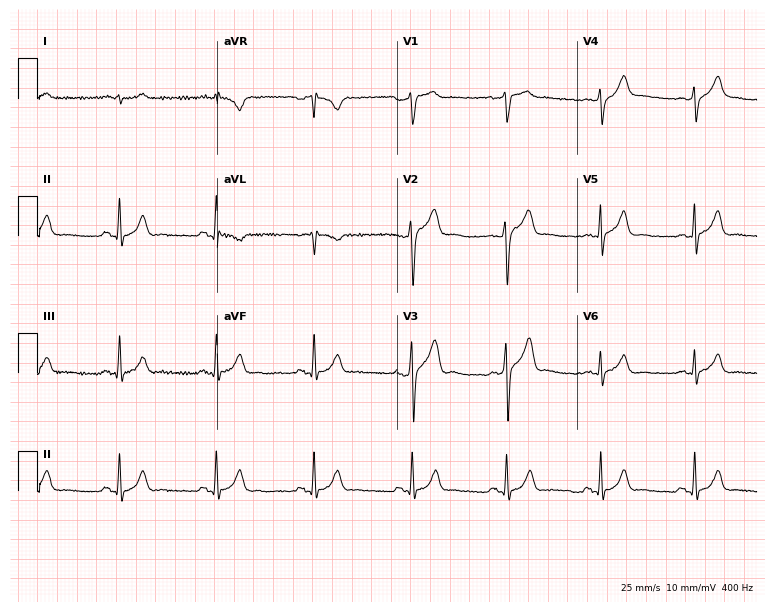
ECG (7.3-second recording at 400 Hz) — a male patient, 43 years old. Labelled as a normal ECG.